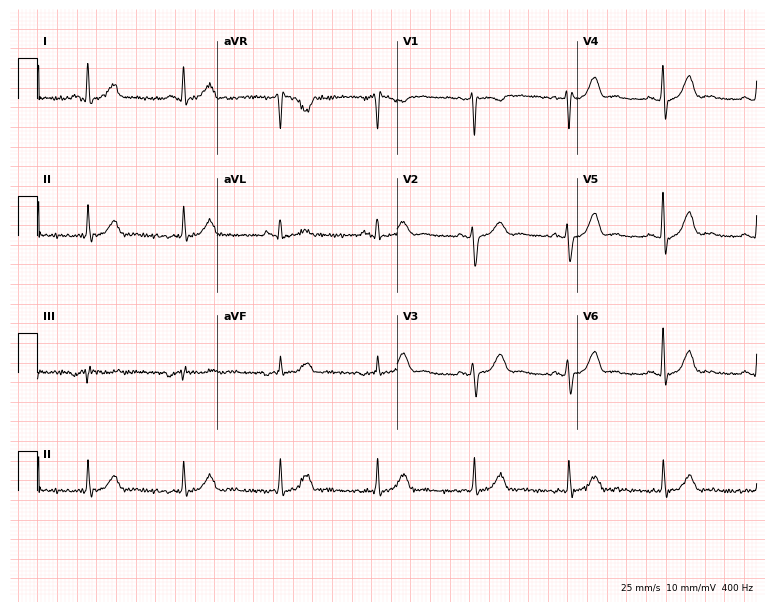
Electrocardiogram (7.3-second recording at 400 Hz), a 52-year-old female patient. Of the six screened findings (first-degree AV block, right bundle branch block, left bundle branch block, sinus bradycardia, atrial fibrillation, sinus tachycardia), none is recorded. Other findings, if any, are not listed.